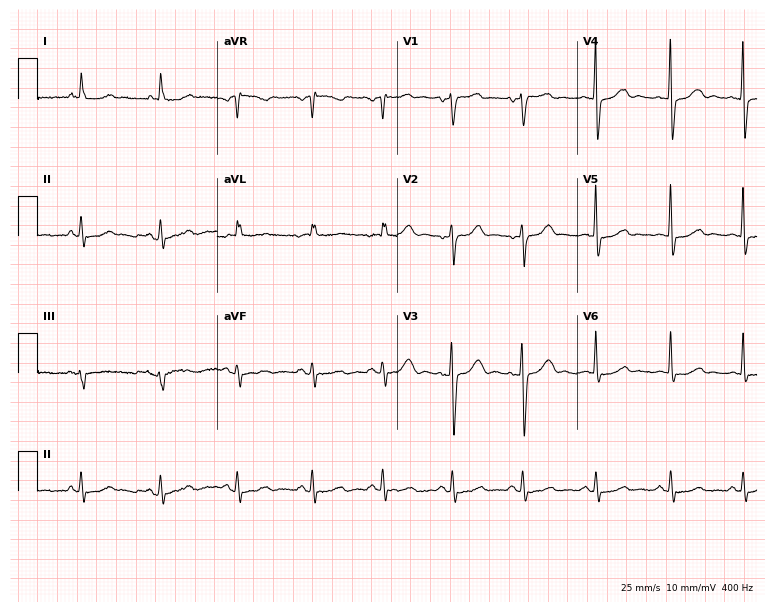
12-lead ECG (7.3-second recording at 400 Hz) from a female, 75 years old. Labelled as a normal ECG.